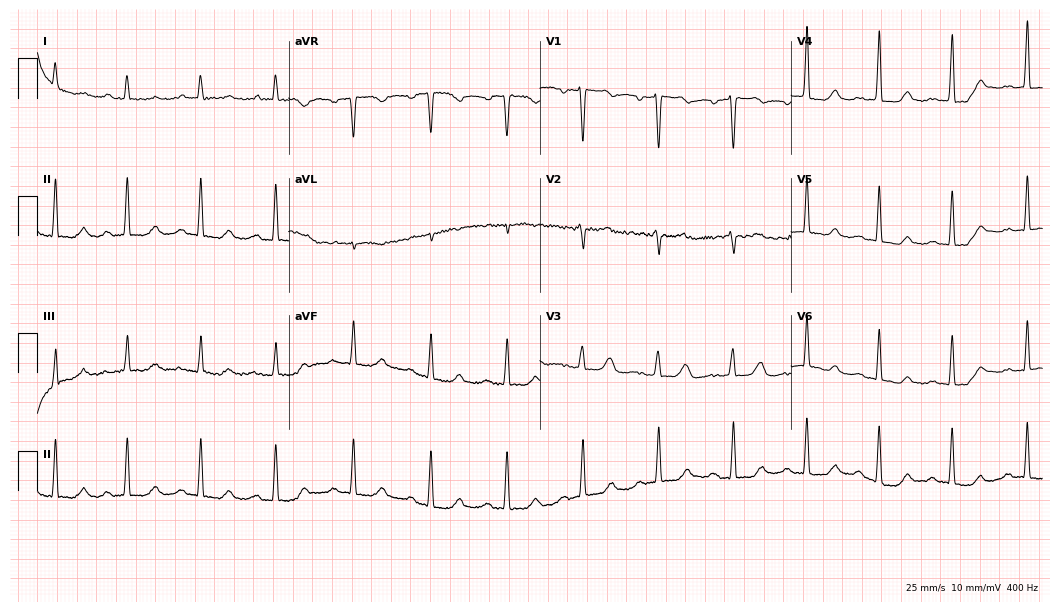
Electrocardiogram (10.2-second recording at 400 Hz), a female patient, 67 years old. Of the six screened findings (first-degree AV block, right bundle branch block (RBBB), left bundle branch block (LBBB), sinus bradycardia, atrial fibrillation (AF), sinus tachycardia), none is recorded.